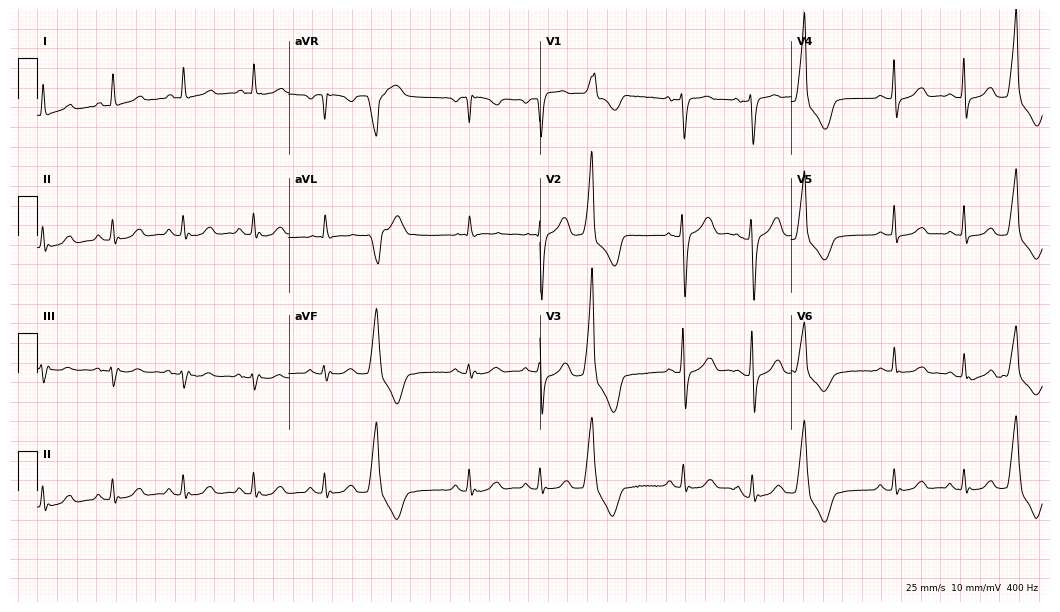
12-lead ECG (10.2-second recording at 400 Hz) from a 73-year-old woman. Screened for six findings — first-degree AV block, right bundle branch block (RBBB), left bundle branch block (LBBB), sinus bradycardia, atrial fibrillation (AF), sinus tachycardia — none is recorded.